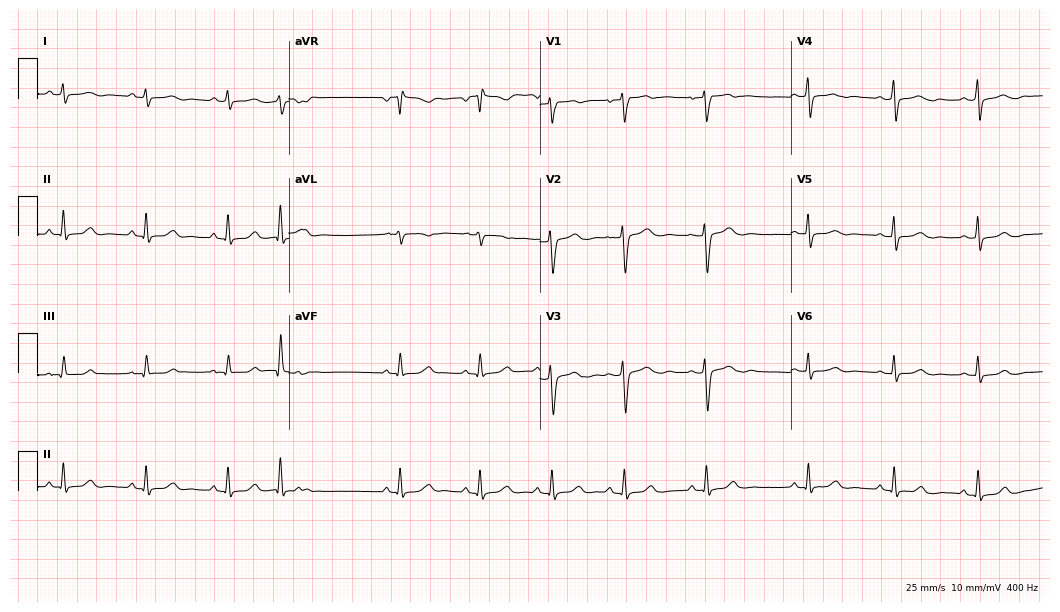
Resting 12-lead electrocardiogram. Patient: a 34-year-old female. None of these six findings is recorded: first-degree AV block, right bundle branch block, left bundle branch block, sinus bradycardia, atrial fibrillation, sinus tachycardia. Only these six findings were labelled.